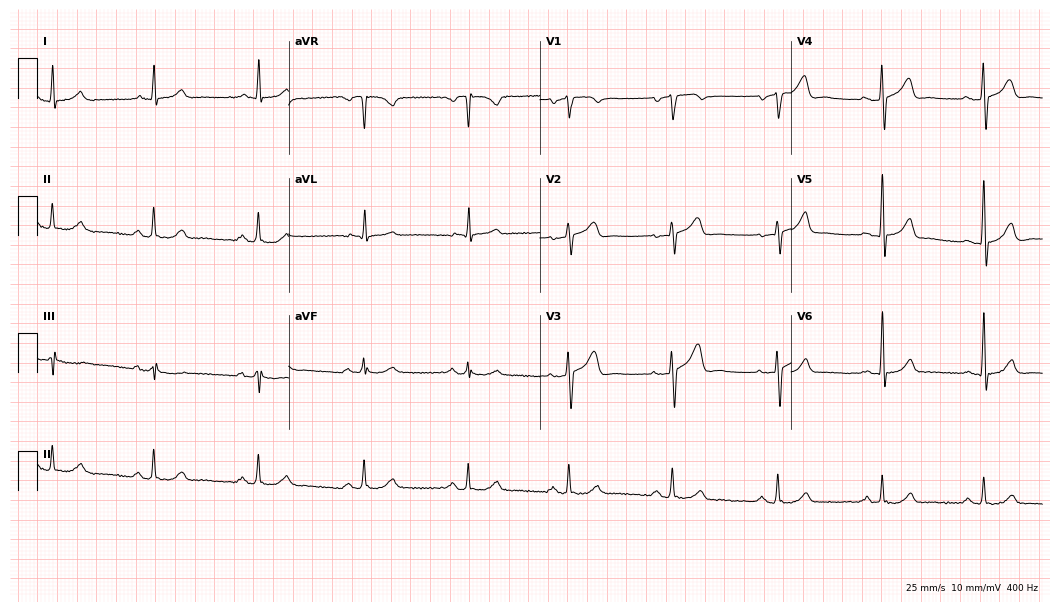
Resting 12-lead electrocardiogram. Patient: a male, 66 years old. None of these six findings is recorded: first-degree AV block, right bundle branch block (RBBB), left bundle branch block (LBBB), sinus bradycardia, atrial fibrillation (AF), sinus tachycardia. Other findings, if any, are not listed.